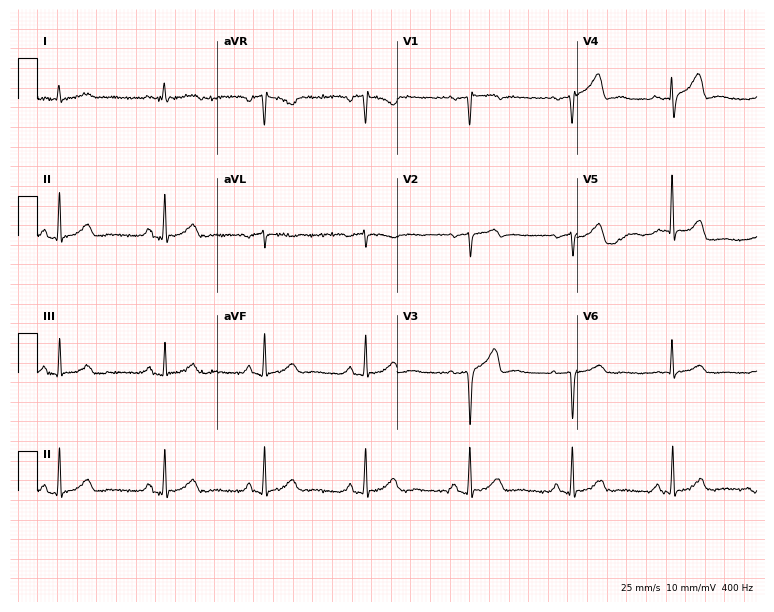
12-lead ECG from a male, 73 years old. Recorded interpretation: within normal limits.